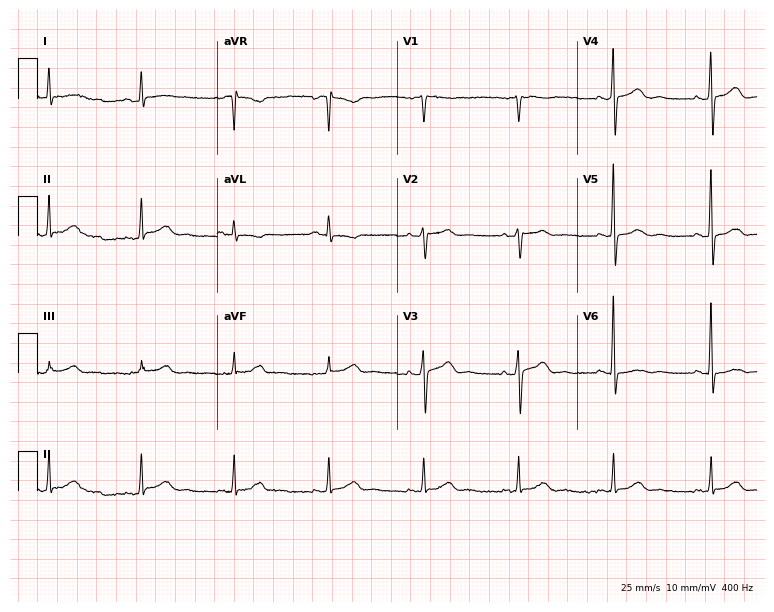
Electrocardiogram (7.3-second recording at 400 Hz), an 81-year-old male. Of the six screened findings (first-degree AV block, right bundle branch block (RBBB), left bundle branch block (LBBB), sinus bradycardia, atrial fibrillation (AF), sinus tachycardia), none is recorded. Only these six findings were labelled.